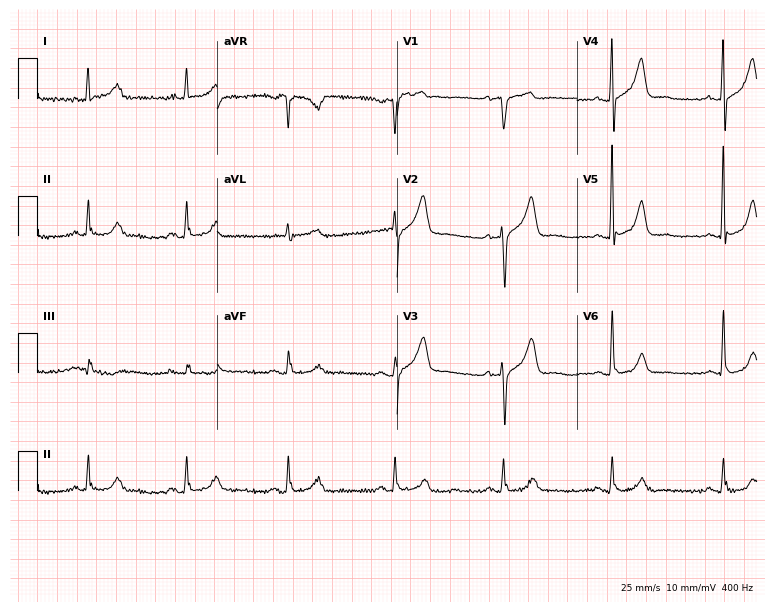
12-lead ECG from a male, 61 years old. Recorded interpretation: within normal limits.